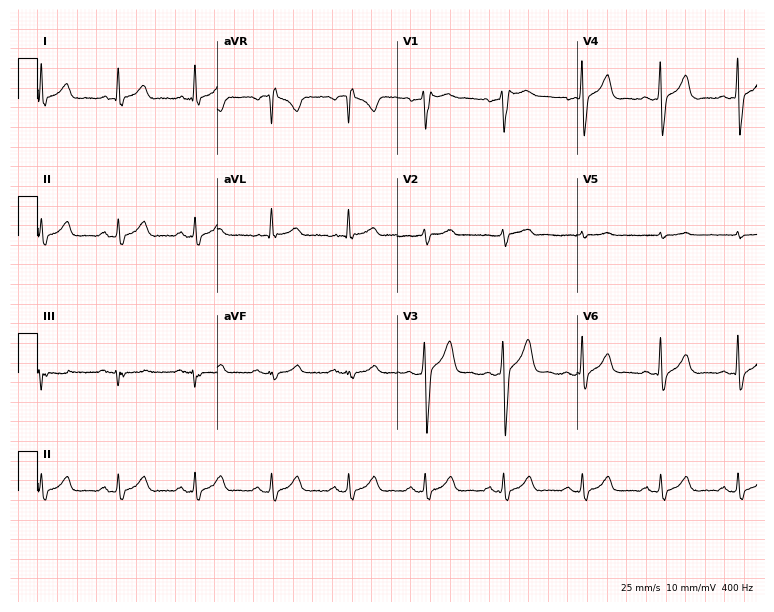
Resting 12-lead electrocardiogram (7.3-second recording at 400 Hz). Patient: a male, 47 years old. Read as a normal ECG.